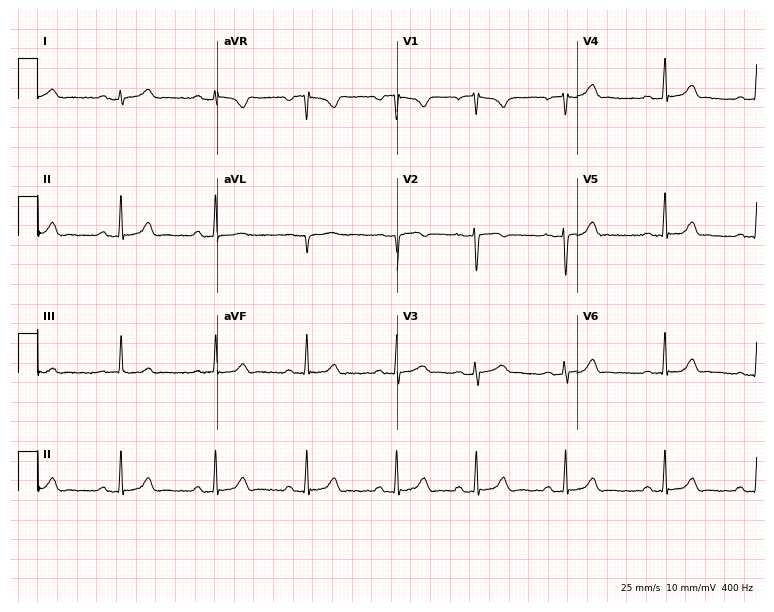
12-lead ECG from a 19-year-old woman. Screened for six findings — first-degree AV block, right bundle branch block (RBBB), left bundle branch block (LBBB), sinus bradycardia, atrial fibrillation (AF), sinus tachycardia — none is recorded. Only these six findings were labelled.